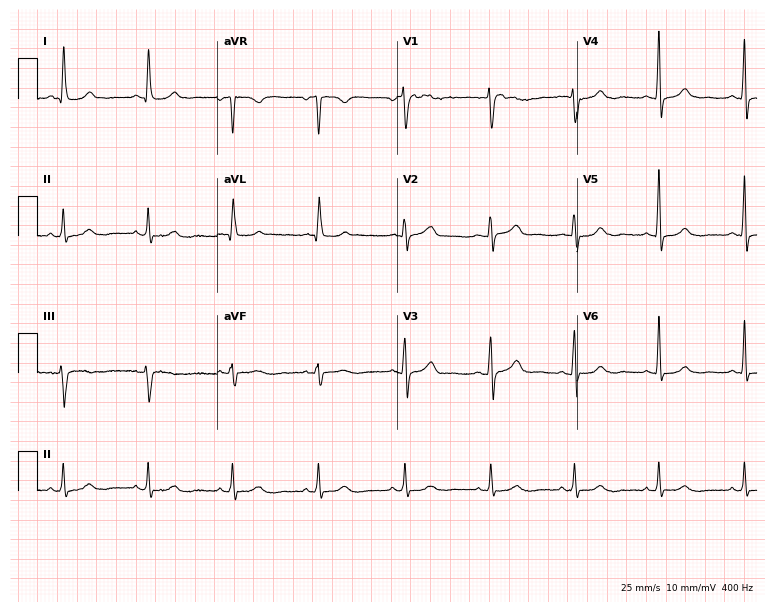
Electrocardiogram, a female, 57 years old. Overall reading on record: normal ECG.